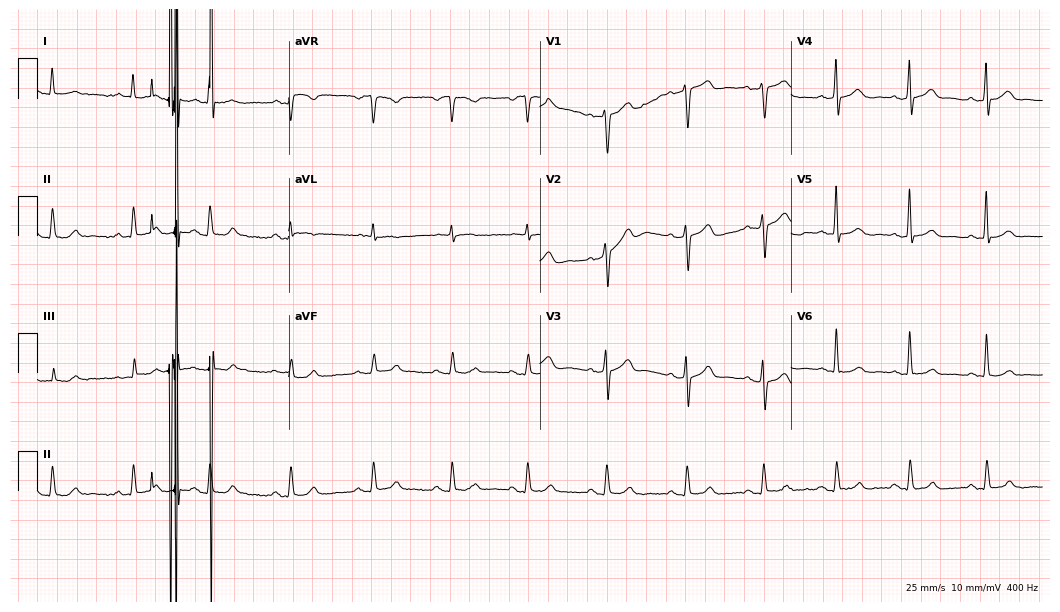
12-lead ECG from a male, 64 years old. Recorded interpretation: within normal limits.